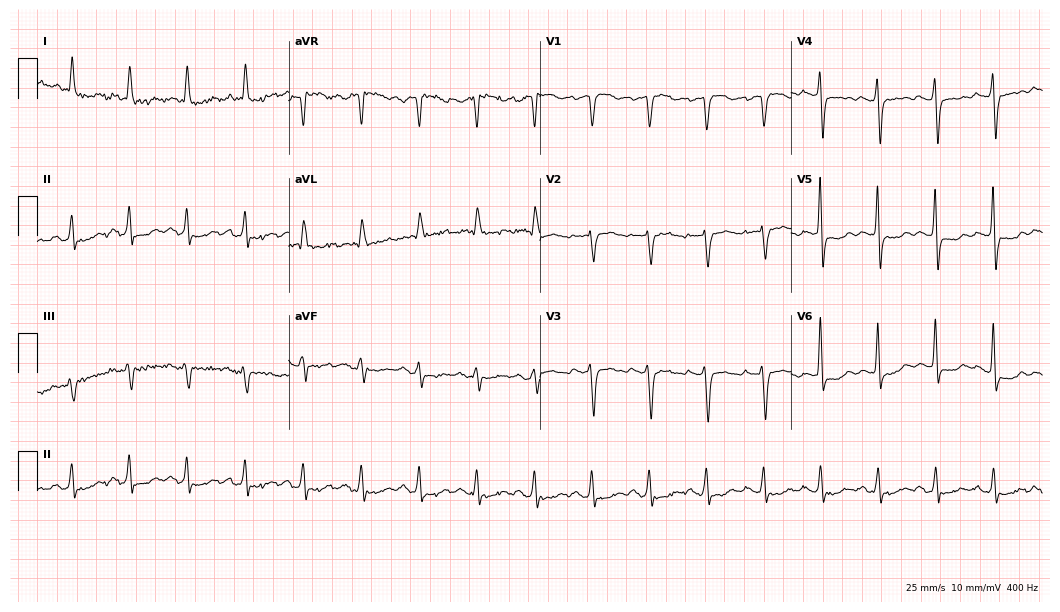
Electrocardiogram, a female, 80 years old. Of the six screened findings (first-degree AV block, right bundle branch block, left bundle branch block, sinus bradycardia, atrial fibrillation, sinus tachycardia), none is recorded.